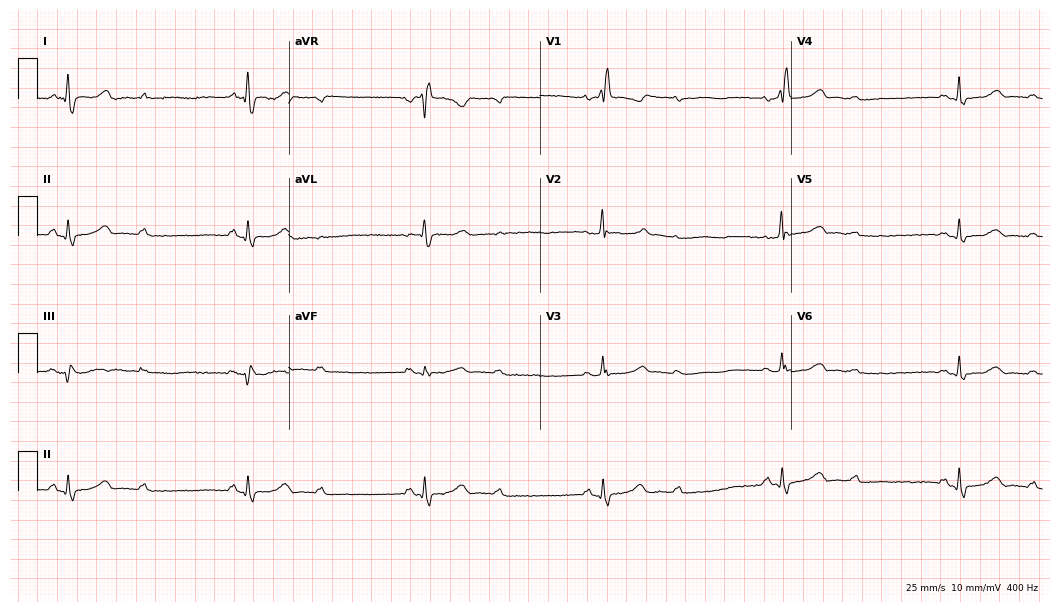
12-lead ECG (10.2-second recording at 400 Hz) from a female, 73 years old. Findings include right bundle branch block, sinus bradycardia (a sinus rate of 50 beats per minute or less).